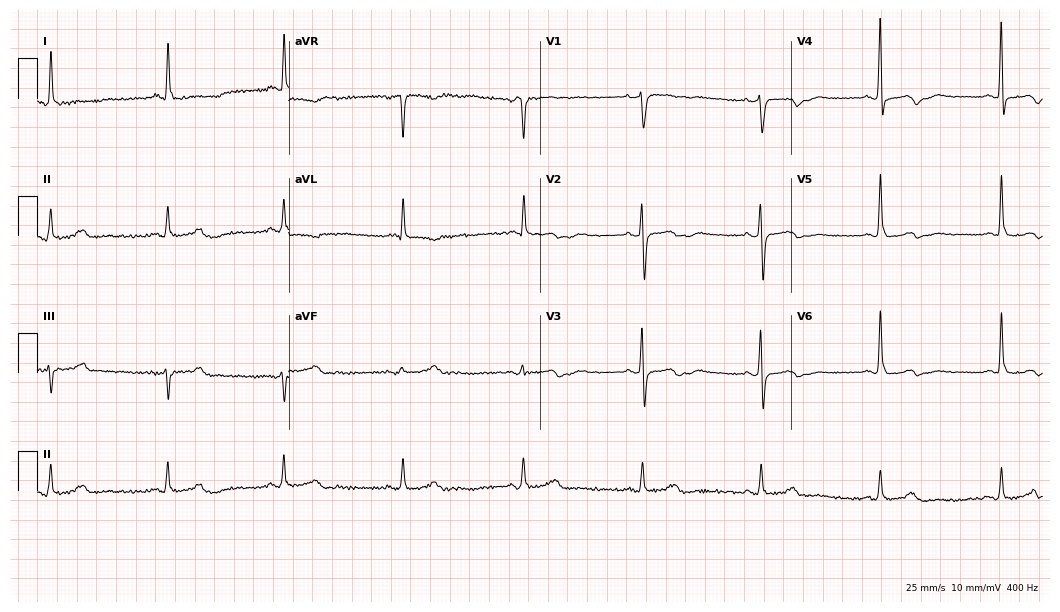
Electrocardiogram (10.2-second recording at 400 Hz), a woman, 73 years old. Interpretation includes sinus bradycardia (a sinus rate of 50 beats per minute or less).